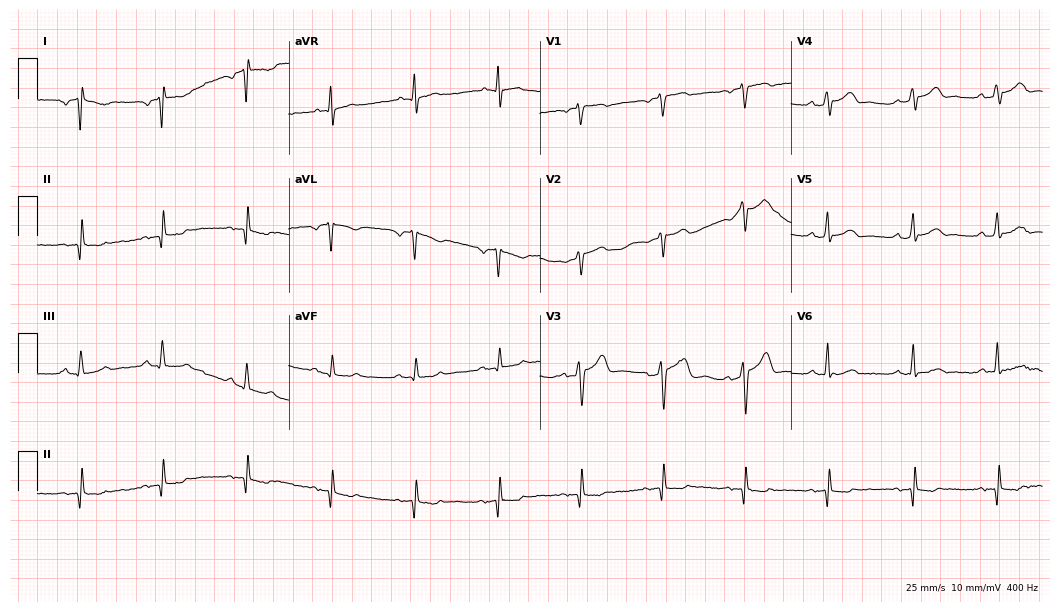
Electrocardiogram (10.2-second recording at 400 Hz), a man, 46 years old. Of the six screened findings (first-degree AV block, right bundle branch block, left bundle branch block, sinus bradycardia, atrial fibrillation, sinus tachycardia), none is recorded. Only these six findings were labelled.